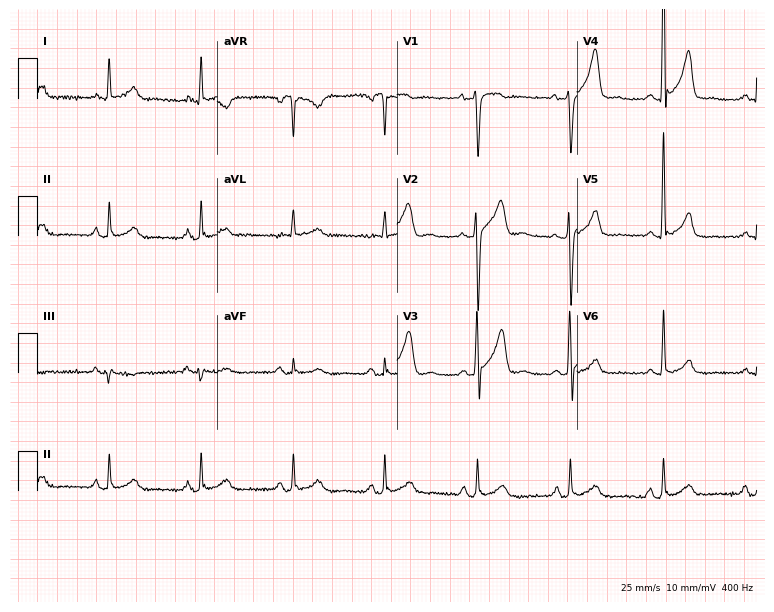
Electrocardiogram (7.3-second recording at 400 Hz), a 67-year-old male. Overall reading on record: normal ECG.